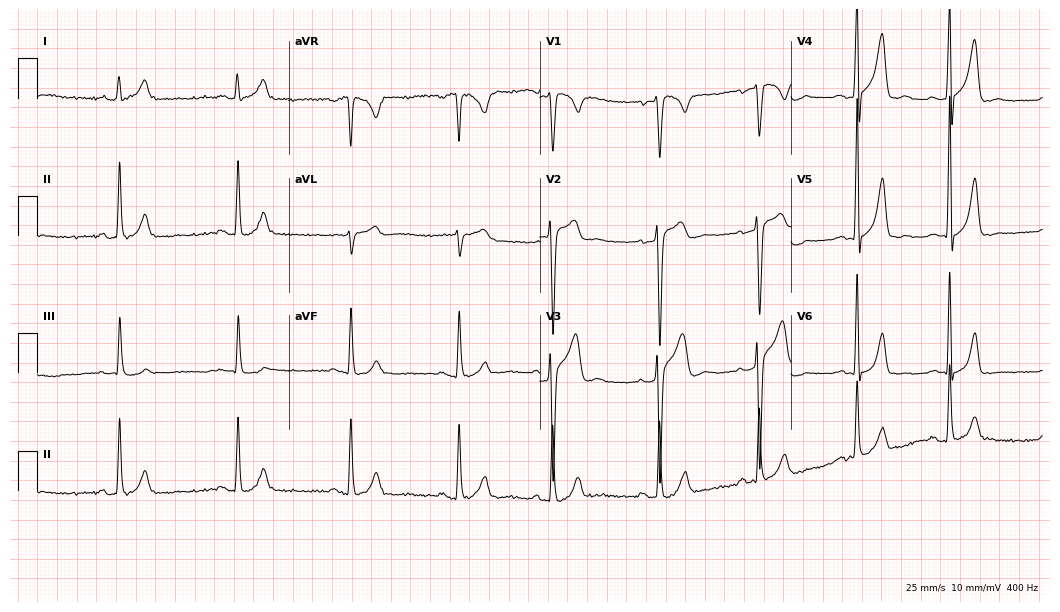
Standard 12-lead ECG recorded from a 24-year-old man. Read as a normal ECG.